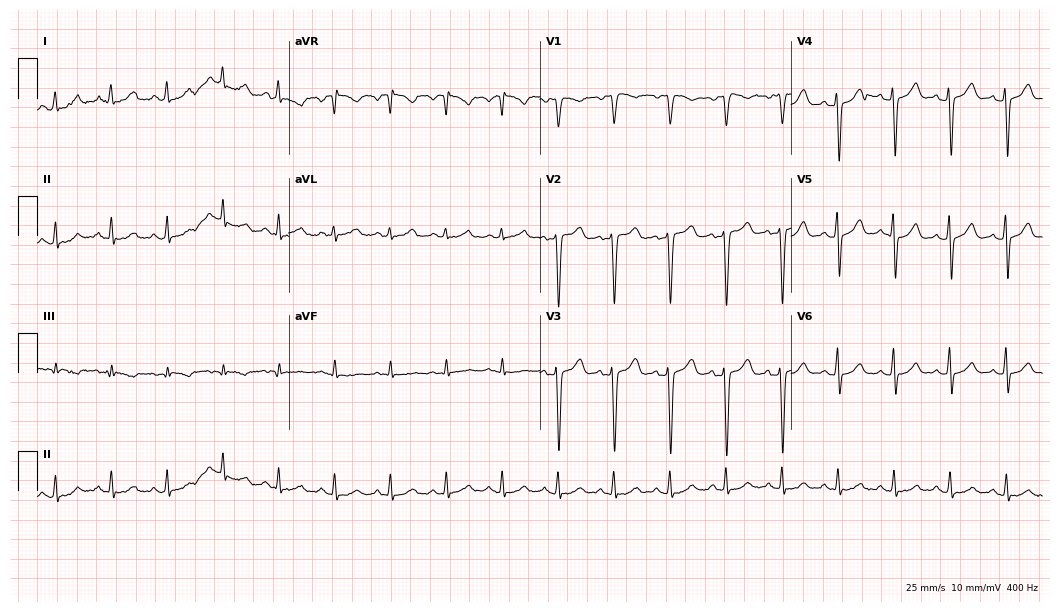
12-lead ECG from a 53-year-old female patient. Shows sinus tachycardia (a sinus rate of 100 beats per minute or more).